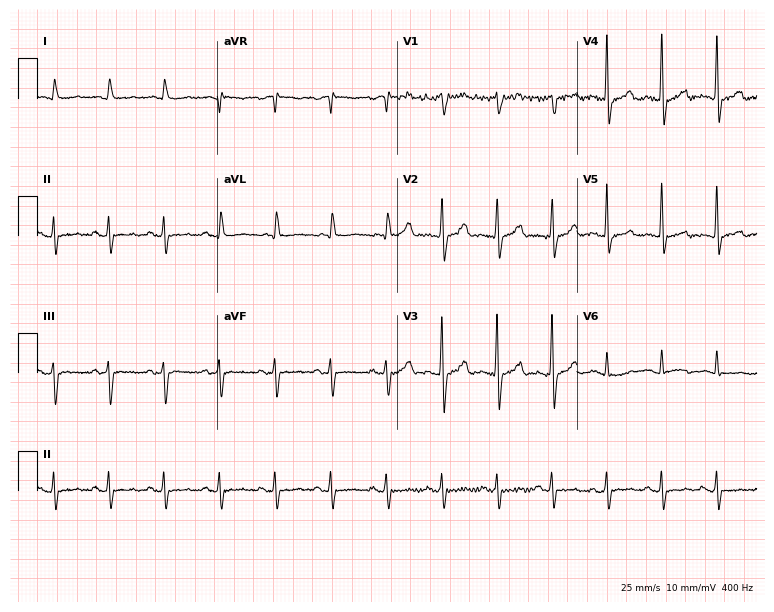
12-lead ECG from a 76-year-old male. Screened for six findings — first-degree AV block, right bundle branch block, left bundle branch block, sinus bradycardia, atrial fibrillation, sinus tachycardia — none is recorded. Other findings, if any, are not listed.